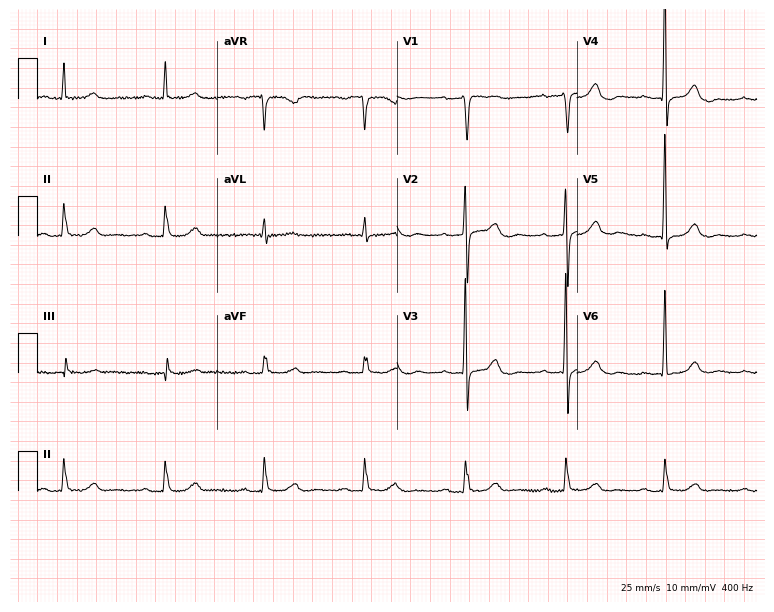
Resting 12-lead electrocardiogram (7.3-second recording at 400 Hz). Patient: a female, 78 years old. None of these six findings is recorded: first-degree AV block, right bundle branch block, left bundle branch block, sinus bradycardia, atrial fibrillation, sinus tachycardia.